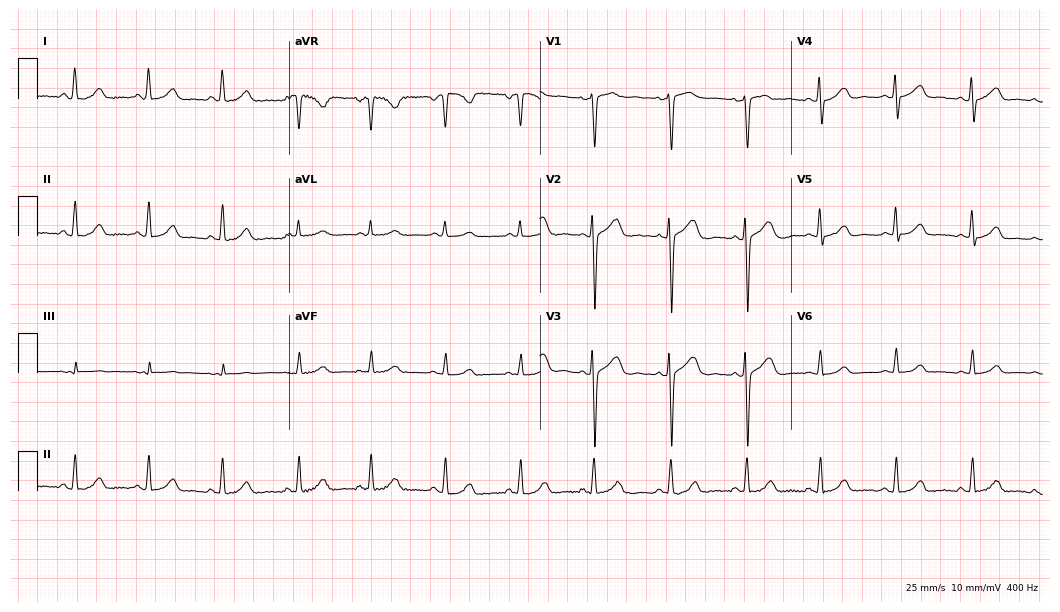
12-lead ECG from a 27-year-old female patient. Recorded interpretation: within normal limits.